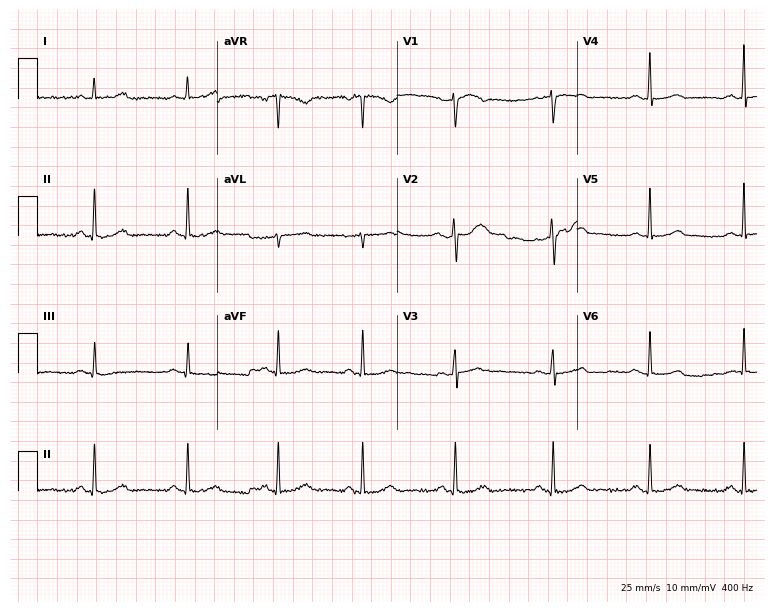
12-lead ECG from a 45-year-old female patient. Recorded interpretation: within normal limits.